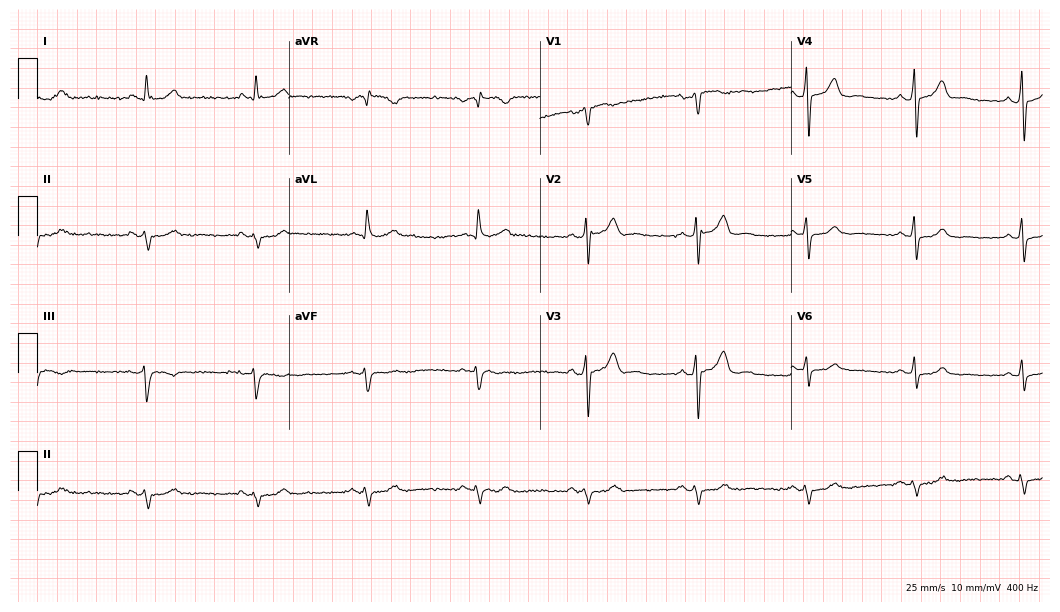
Resting 12-lead electrocardiogram. Patient: a man, 71 years old. None of these six findings is recorded: first-degree AV block, right bundle branch block, left bundle branch block, sinus bradycardia, atrial fibrillation, sinus tachycardia.